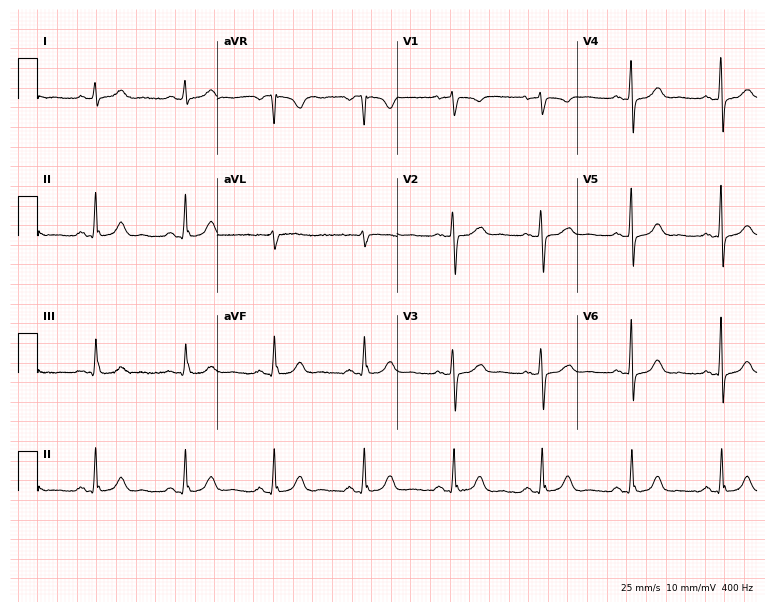
Resting 12-lead electrocardiogram. Patient: a 77-year-old woman. Read as a normal ECG.